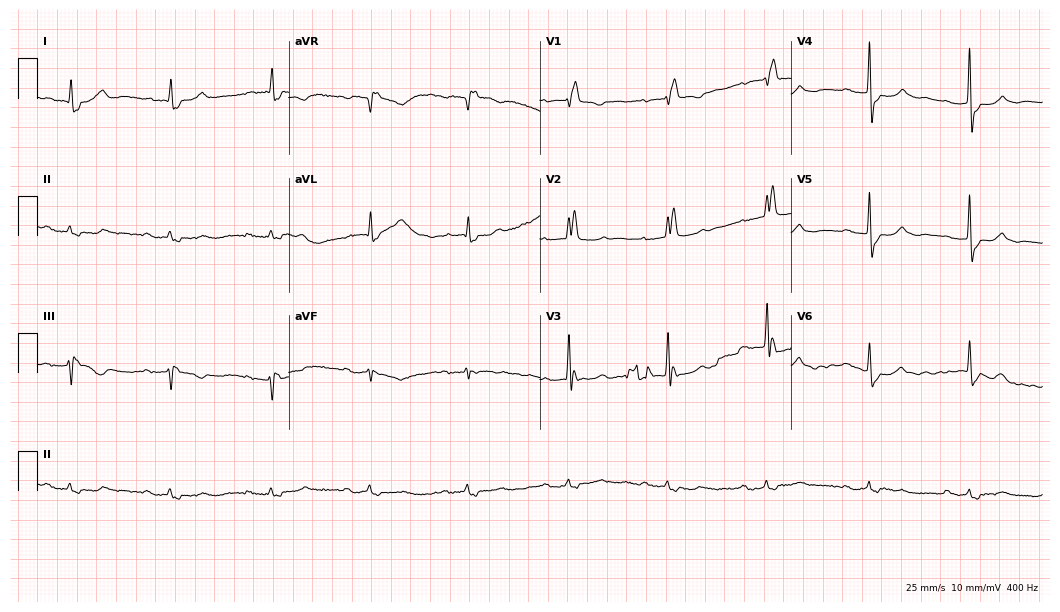
12-lead ECG from a 76-year-old female. Findings include first-degree AV block, right bundle branch block.